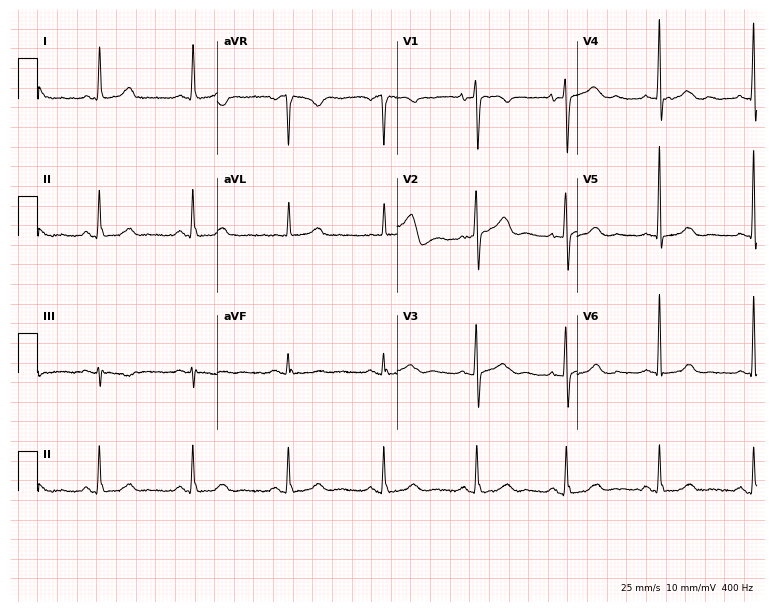
12-lead ECG (7.3-second recording at 400 Hz) from a woman, 75 years old. Labelled as a normal ECG.